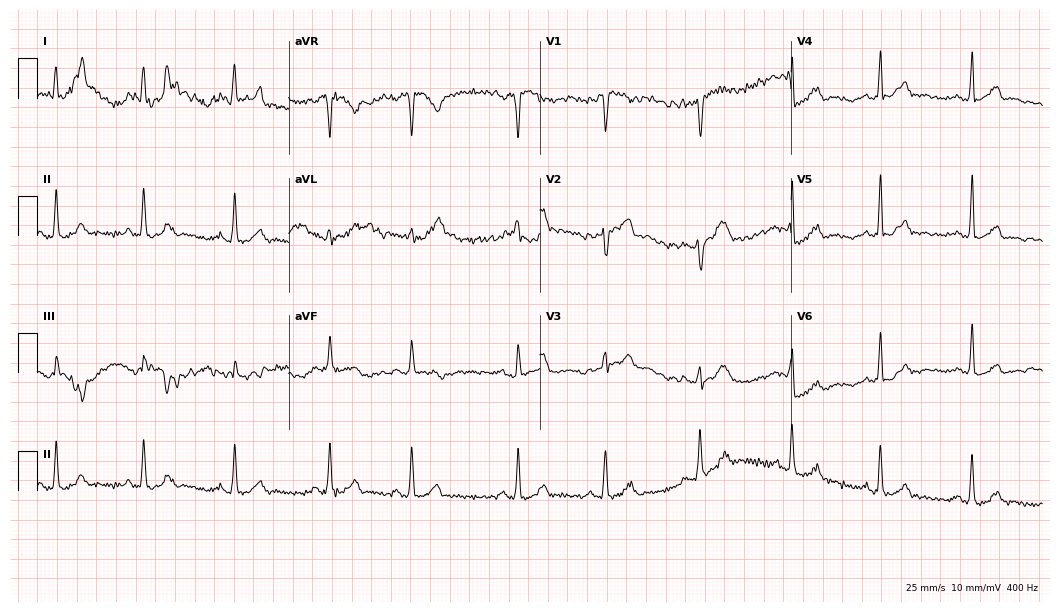
12-lead ECG from a 23-year-old male patient (10.2-second recording at 400 Hz). Recorded interpretation: within normal limits.